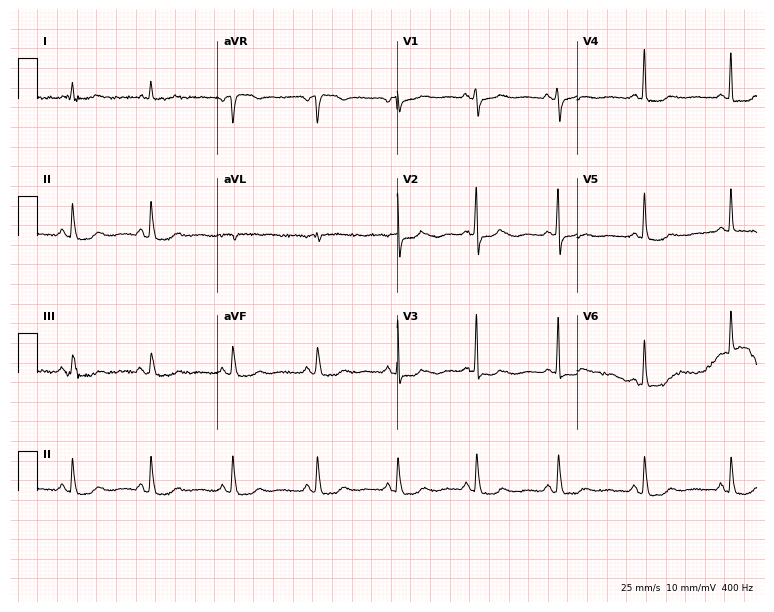
12-lead ECG (7.3-second recording at 400 Hz) from a woman, 70 years old. Screened for six findings — first-degree AV block, right bundle branch block, left bundle branch block, sinus bradycardia, atrial fibrillation, sinus tachycardia — none is recorded.